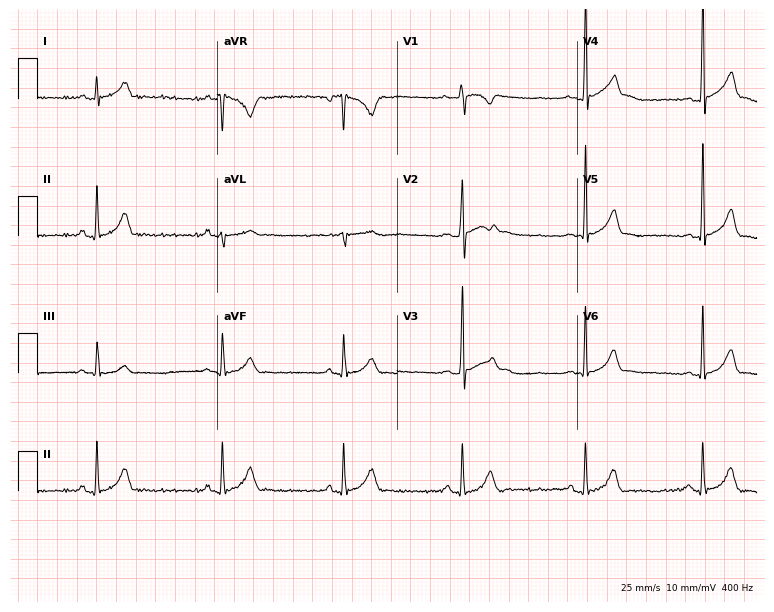
12-lead ECG from a male, 17 years old (7.3-second recording at 400 Hz). Recorded interpretation: within normal limits.